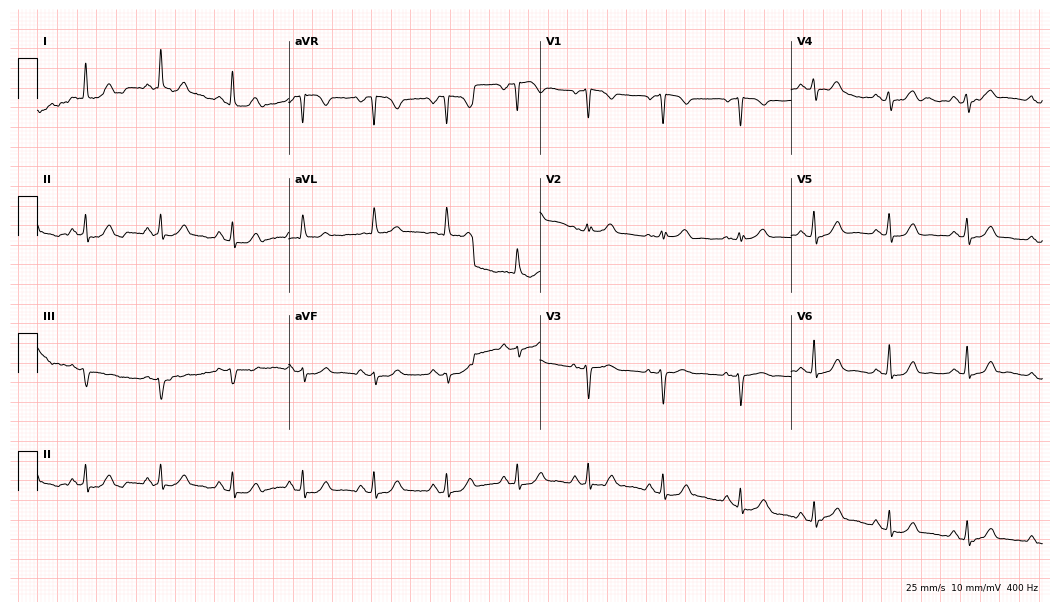
12-lead ECG from an 84-year-old female. Recorded interpretation: within normal limits.